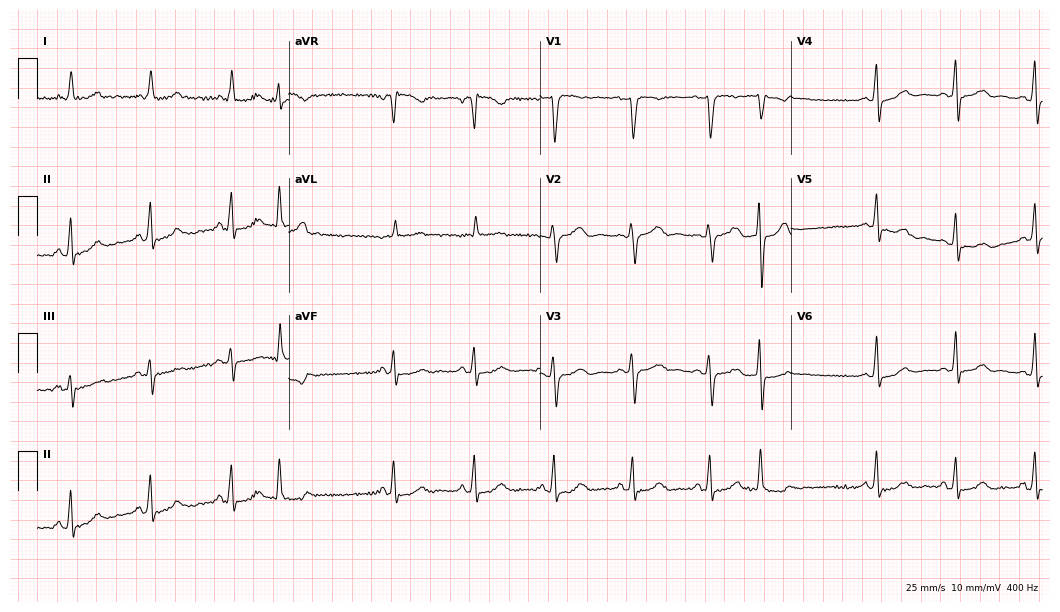
Electrocardiogram, a female patient, 51 years old. Of the six screened findings (first-degree AV block, right bundle branch block, left bundle branch block, sinus bradycardia, atrial fibrillation, sinus tachycardia), none is recorded. Findings outside these six are not listed.